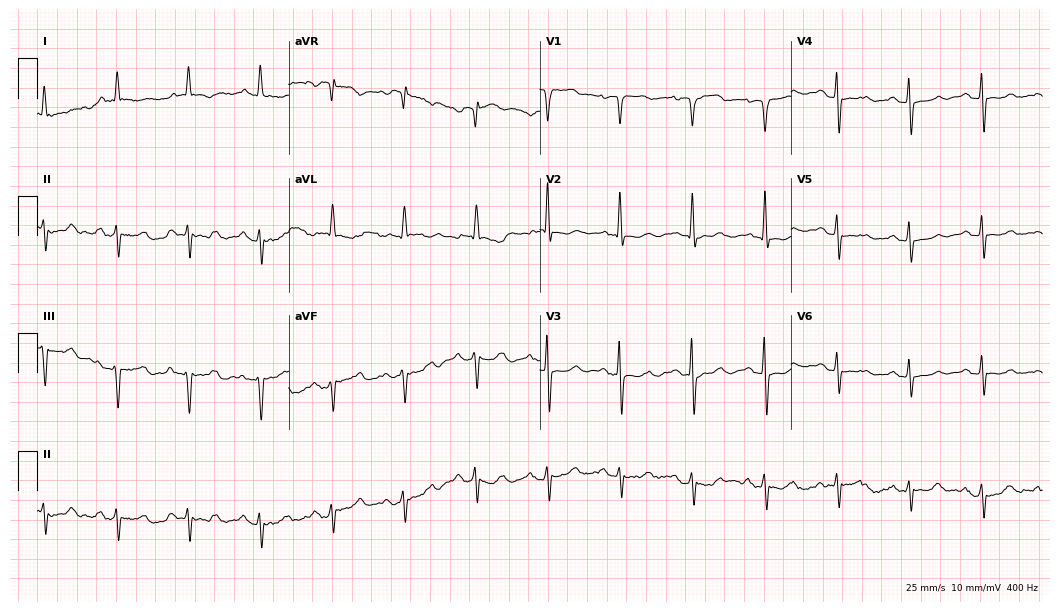
ECG — an 82-year-old female patient. Screened for six findings — first-degree AV block, right bundle branch block (RBBB), left bundle branch block (LBBB), sinus bradycardia, atrial fibrillation (AF), sinus tachycardia — none is recorded.